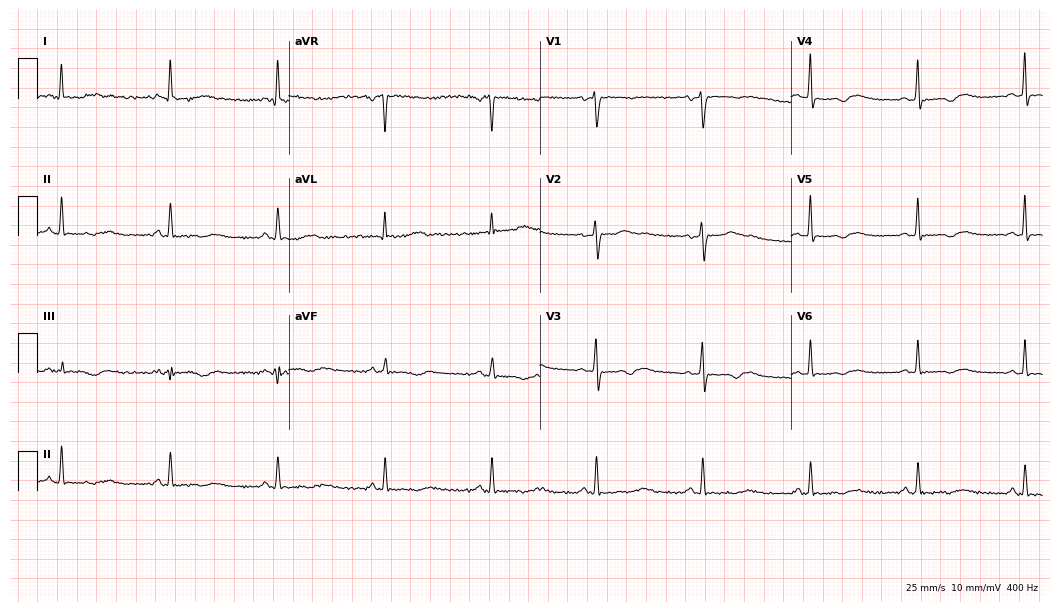
ECG (10.2-second recording at 400 Hz) — a woman, 58 years old. Screened for six findings — first-degree AV block, right bundle branch block (RBBB), left bundle branch block (LBBB), sinus bradycardia, atrial fibrillation (AF), sinus tachycardia — none is recorded. Other findings, if any, are not listed.